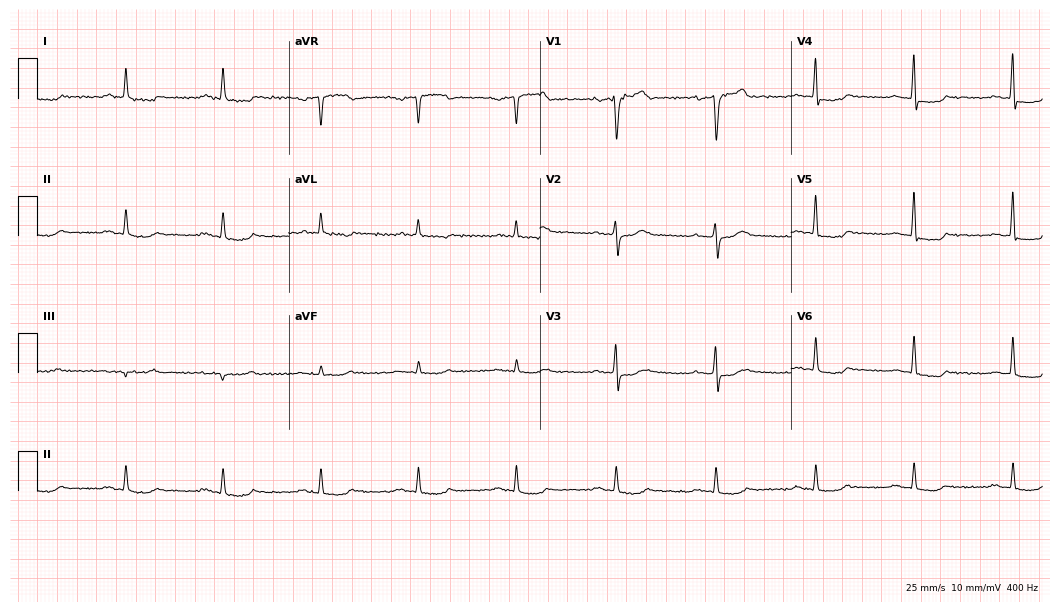
Standard 12-lead ECG recorded from a 79-year-old male (10.2-second recording at 400 Hz). None of these six findings is recorded: first-degree AV block, right bundle branch block (RBBB), left bundle branch block (LBBB), sinus bradycardia, atrial fibrillation (AF), sinus tachycardia. Only these six findings were labelled.